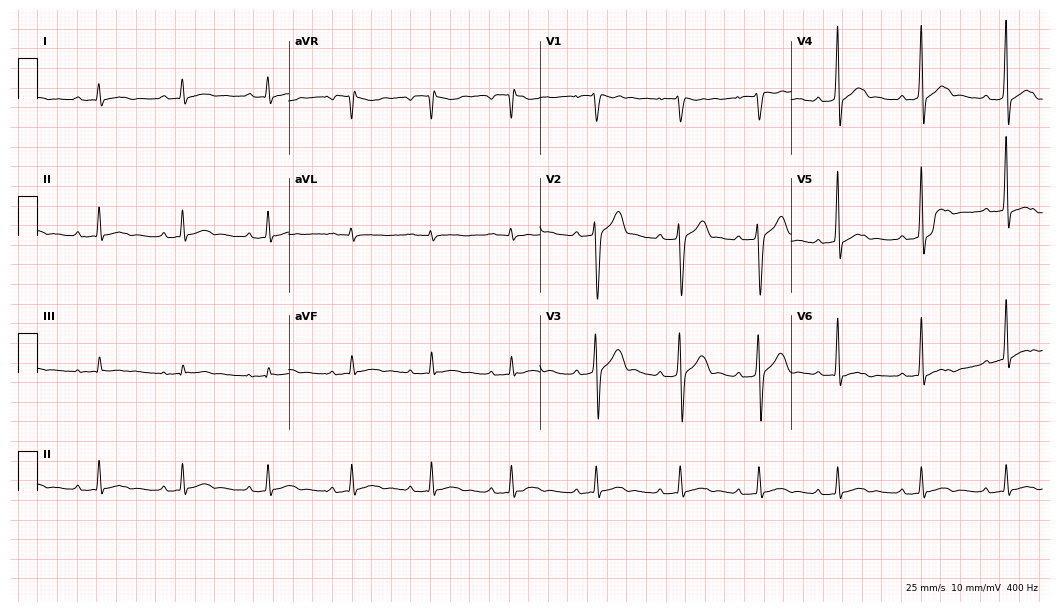
Electrocardiogram (10.2-second recording at 400 Hz), a man, 28 years old. Interpretation includes first-degree AV block.